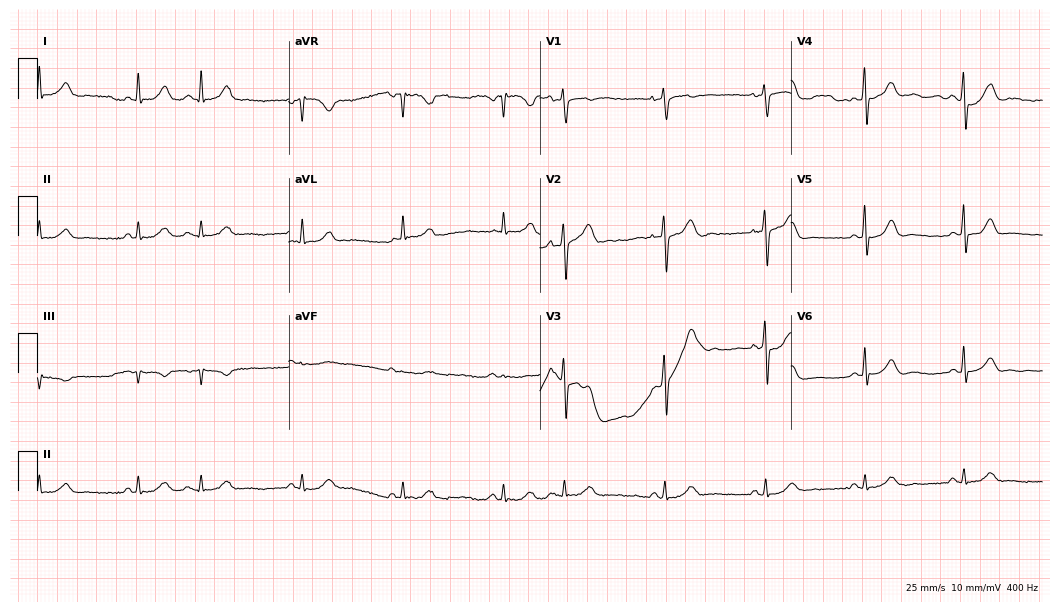
Resting 12-lead electrocardiogram. Patient: a male, 82 years old. None of these six findings is recorded: first-degree AV block, right bundle branch block, left bundle branch block, sinus bradycardia, atrial fibrillation, sinus tachycardia. Other findings, if any, are not listed.